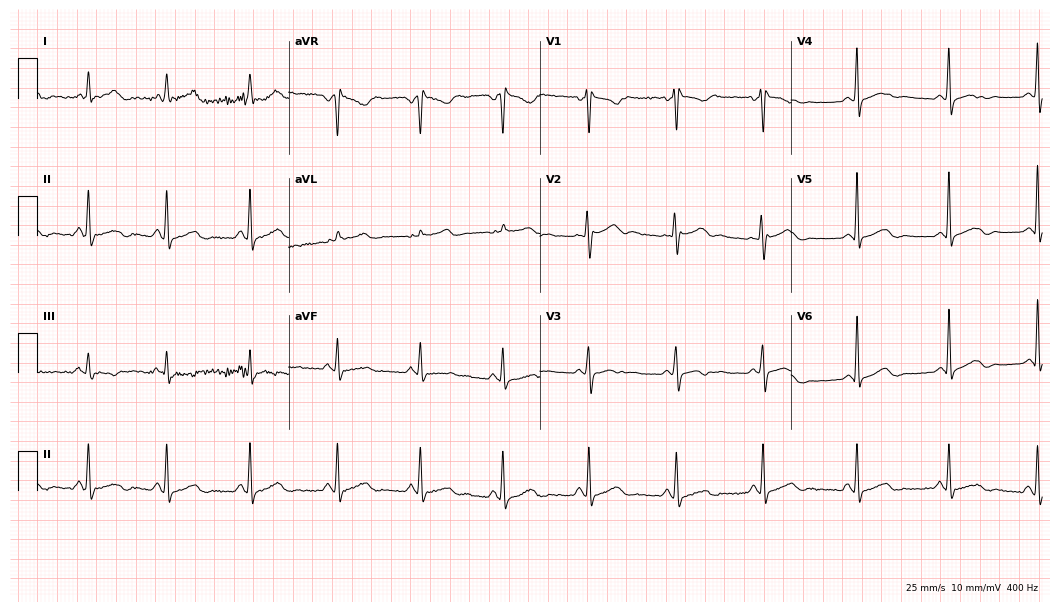
12-lead ECG (10.2-second recording at 400 Hz) from a 45-year-old woman. Screened for six findings — first-degree AV block, right bundle branch block (RBBB), left bundle branch block (LBBB), sinus bradycardia, atrial fibrillation (AF), sinus tachycardia — none is recorded.